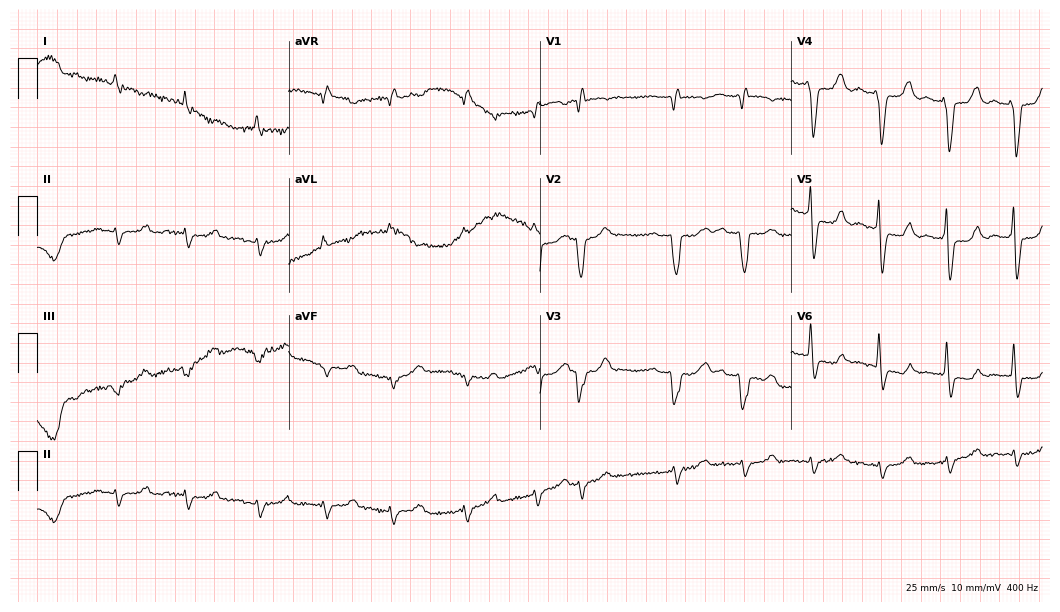
Resting 12-lead electrocardiogram. Patient: a 71-year-old male. The tracing shows right bundle branch block.